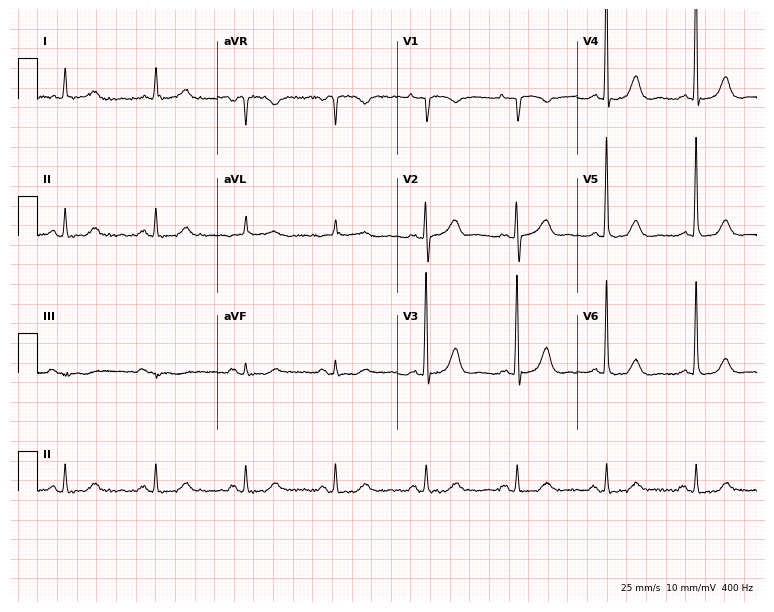
12-lead ECG from a 74-year-old female (7.3-second recording at 400 Hz). No first-degree AV block, right bundle branch block, left bundle branch block, sinus bradycardia, atrial fibrillation or sinus tachycardia recorded for this tracing.